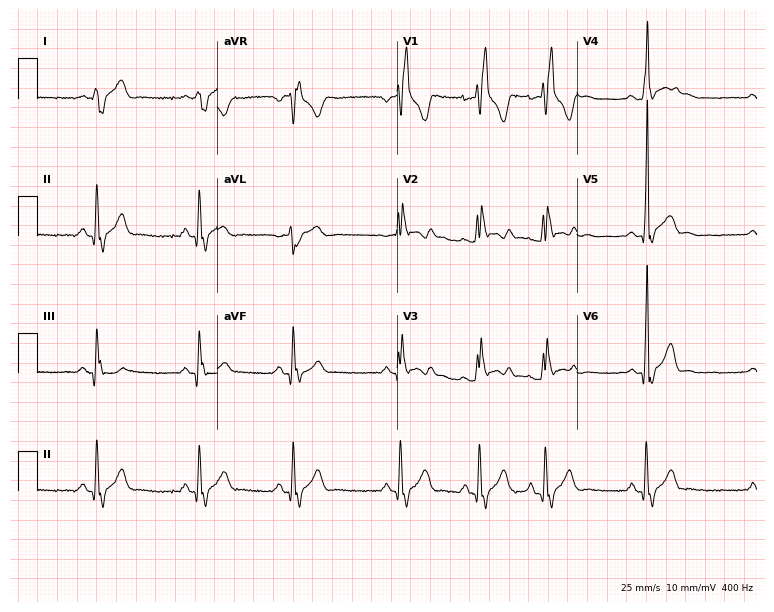
ECG (7.3-second recording at 400 Hz) — a 27-year-old woman. Findings include right bundle branch block.